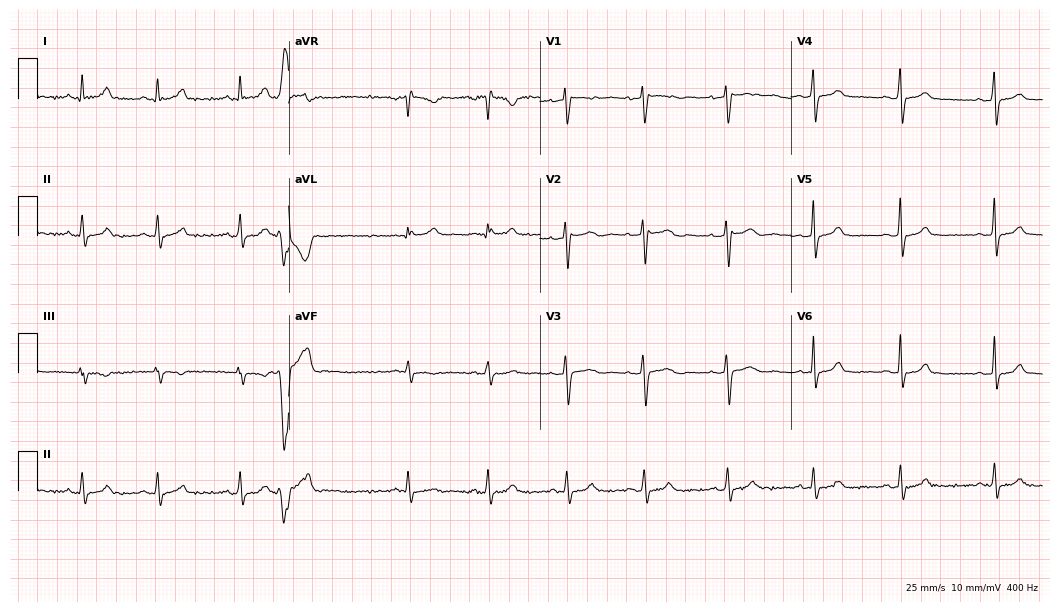
Electrocardiogram (10.2-second recording at 400 Hz), a 39-year-old woman. Of the six screened findings (first-degree AV block, right bundle branch block (RBBB), left bundle branch block (LBBB), sinus bradycardia, atrial fibrillation (AF), sinus tachycardia), none is recorded. Other findings, if any, are not listed.